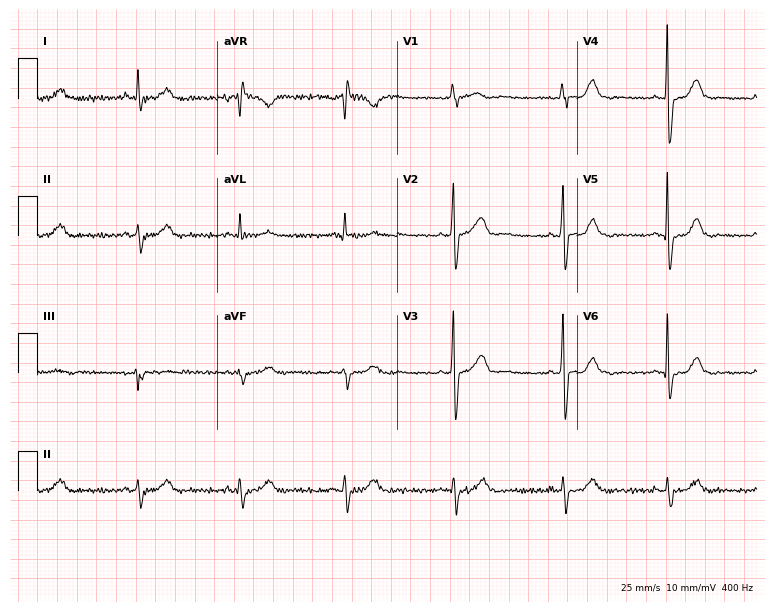
12-lead ECG (7.3-second recording at 400 Hz) from a 68-year-old male. Screened for six findings — first-degree AV block, right bundle branch block, left bundle branch block, sinus bradycardia, atrial fibrillation, sinus tachycardia — none is recorded. Other findings, if any, are not listed.